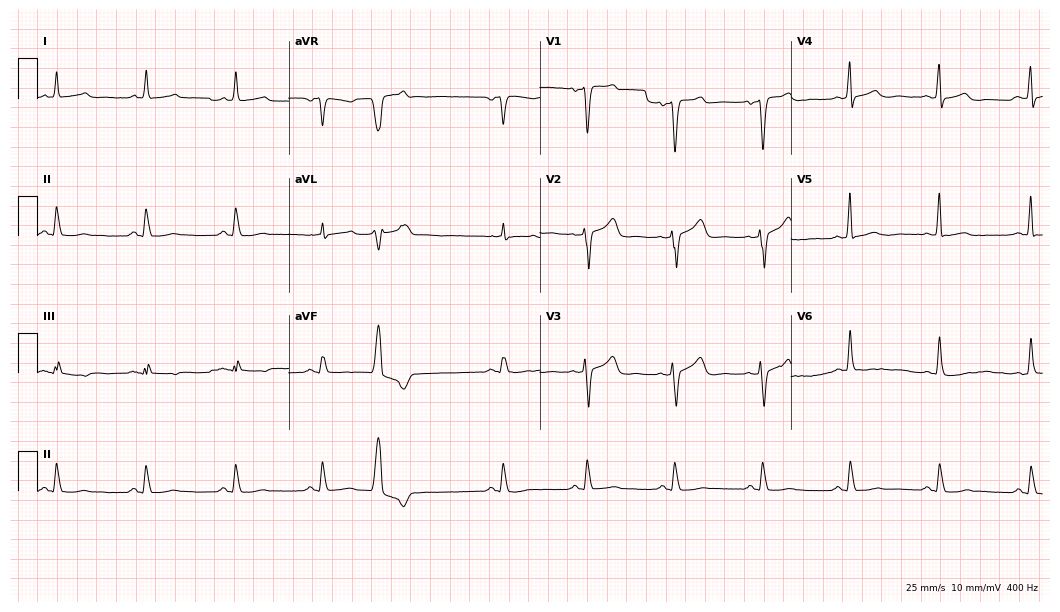
Electrocardiogram, a 47-year-old man. Of the six screened findings (first-degree AV block, right bundle branch block, left bundle branch block, sinus bradycardia, atrial fibrillation, sinus tachycardia), none is recorded.